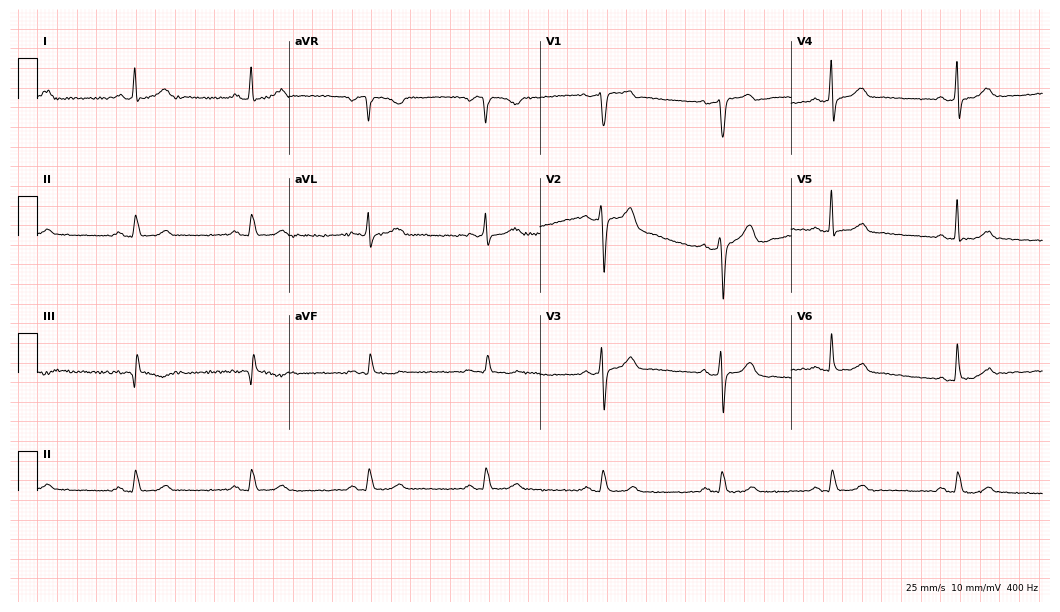
Standard 12-lead ECG recorded from a man, 37 years old (10.2-second recording at 400 Hz). None of these six findings is recorded: first-degree AV block, right bundle branch block (RBBB), left bundle branch block (LBBB), sinus bradycardia, atrial fibrillation (AF), sinus tachycardia.